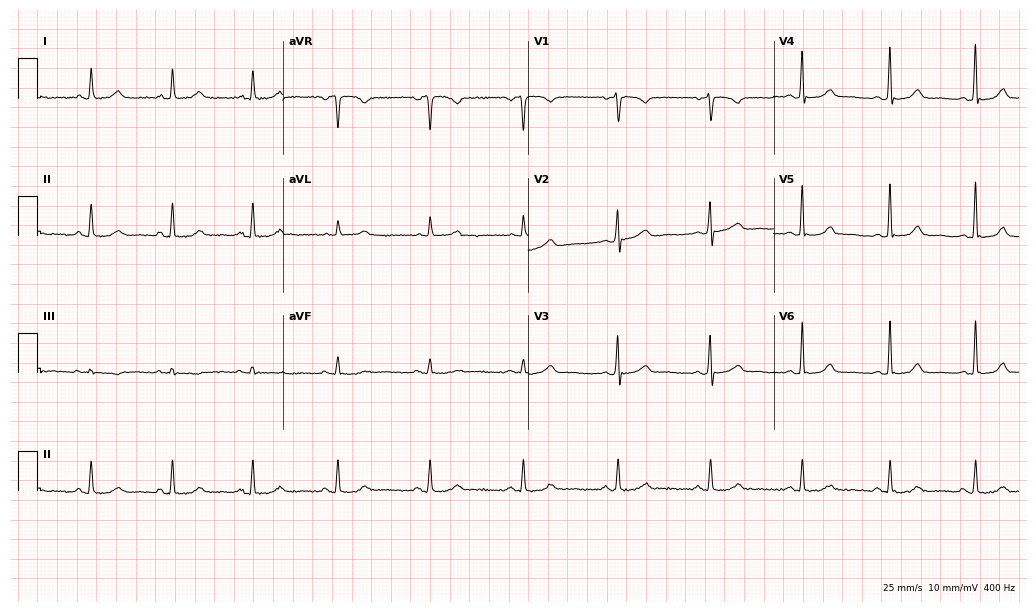
12-lead ECG from a woman, 49 years old. Recorded interpretation: within normal limits.